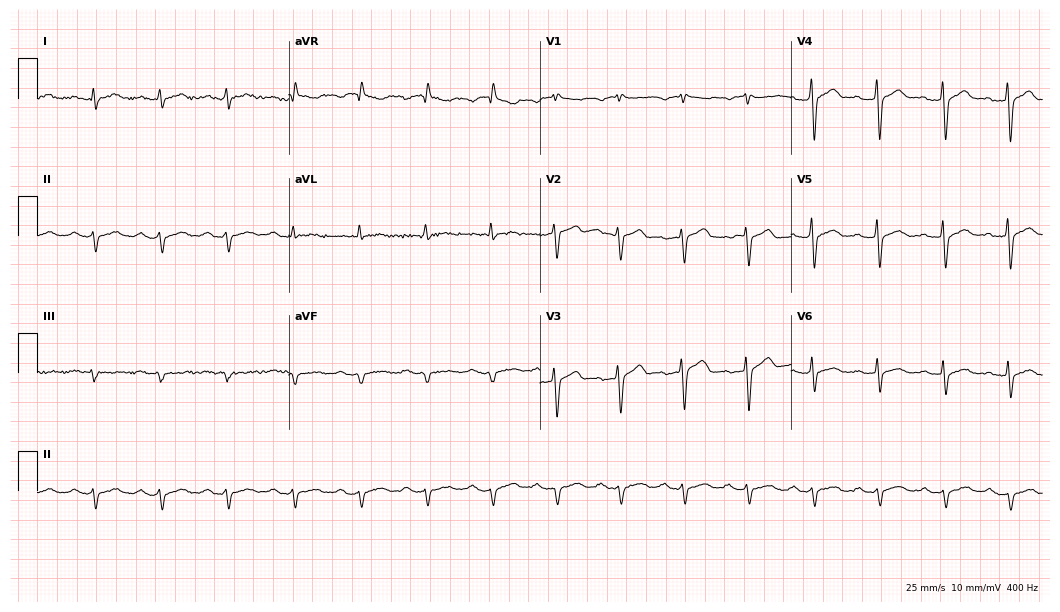
Resting 12-lead electrocardiogram (10.2-second recording at 400 Hz). Patient: a male, 53 years old. The tracing shows first-degree AV block.